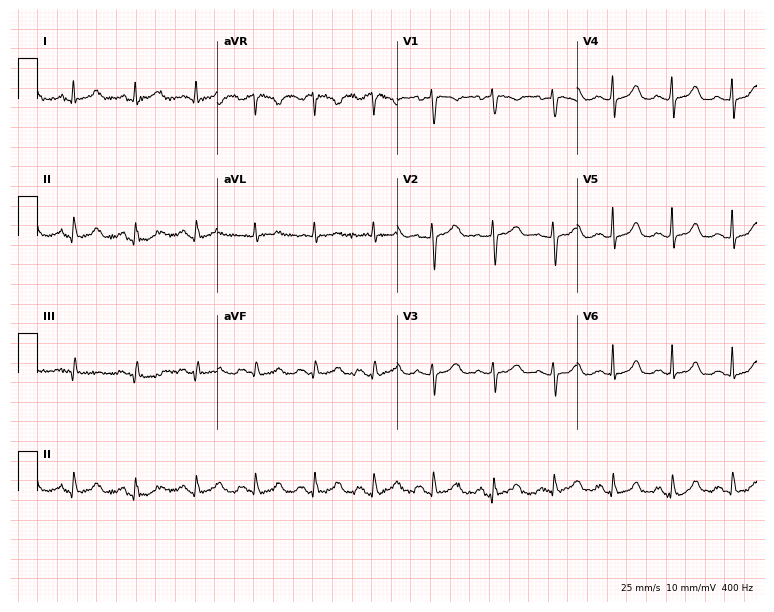
12-lead ECG (7.3-second recording at 400 Hz) from a 48-year-old woman. Screened for six findings — first-degree AV block, right bundle branch block (RBBB), left bundle branch block (LBBB), sinus bradycardia, atrial fibrillation (AF), sinus tachycardia — none is recorded.